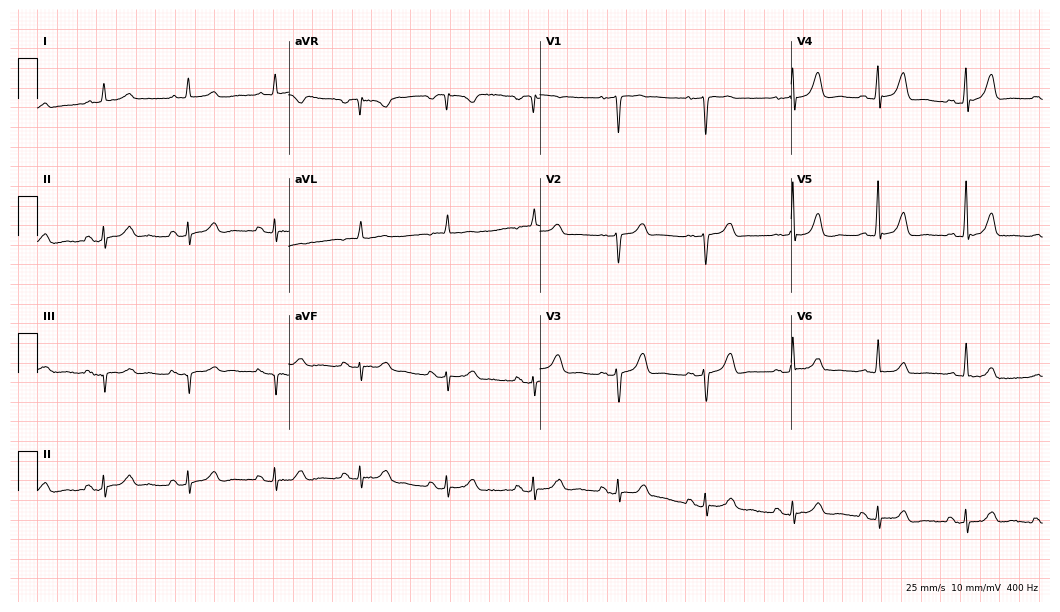
12-lead ECG from a 60-year-old woman. Recorded interpretation: within normal limits.